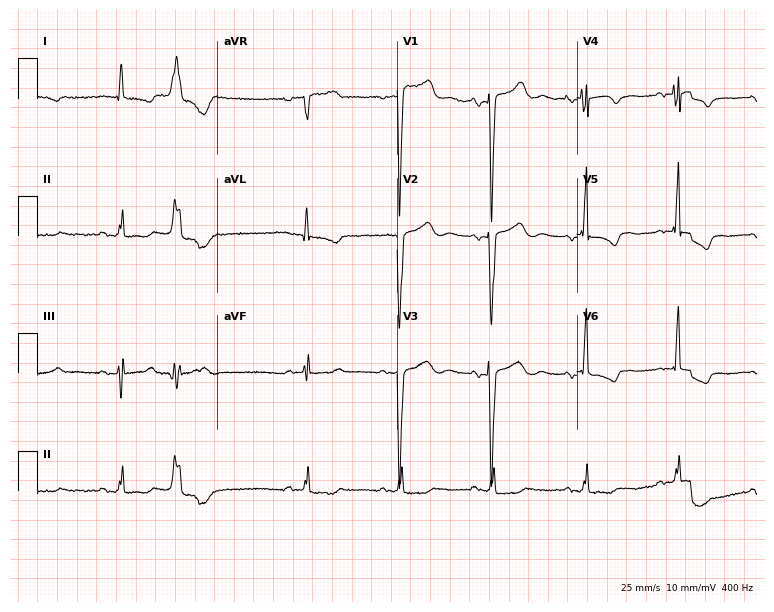
Electrocardiogram (7.3-second recording at 400 Hz), a 78-year-old man. Of the six screened findings (first-degree AV block, right bundle branch block, left bundle branch block, sinus bradycardia, atrial fibrillation, sinus tachycardia), none is recorded.